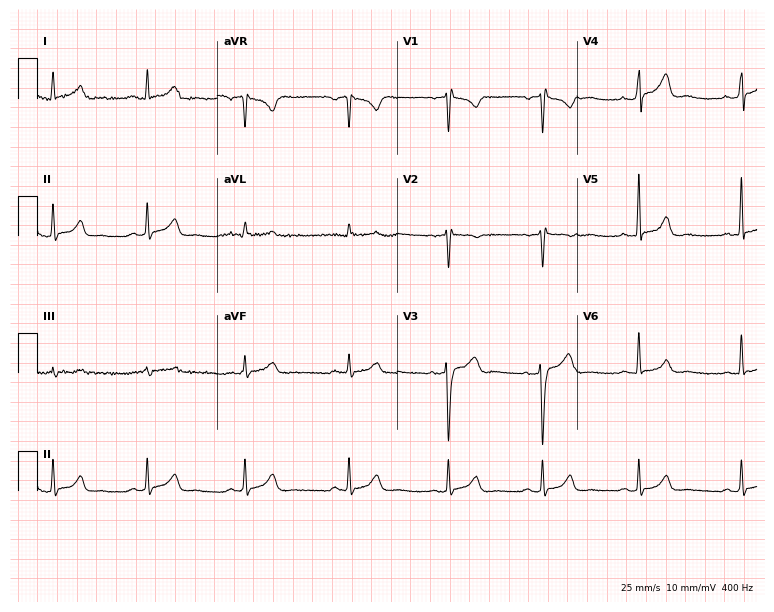
12-lead ECG from a 36-year-old man. Screened for six findings — first-degree AV block, right bundle branch block (RBBB), left bundle branch block (LBBB), sinus bradycardia, atrial fibrillation (AF), sinus tachycardia — none is recorded.